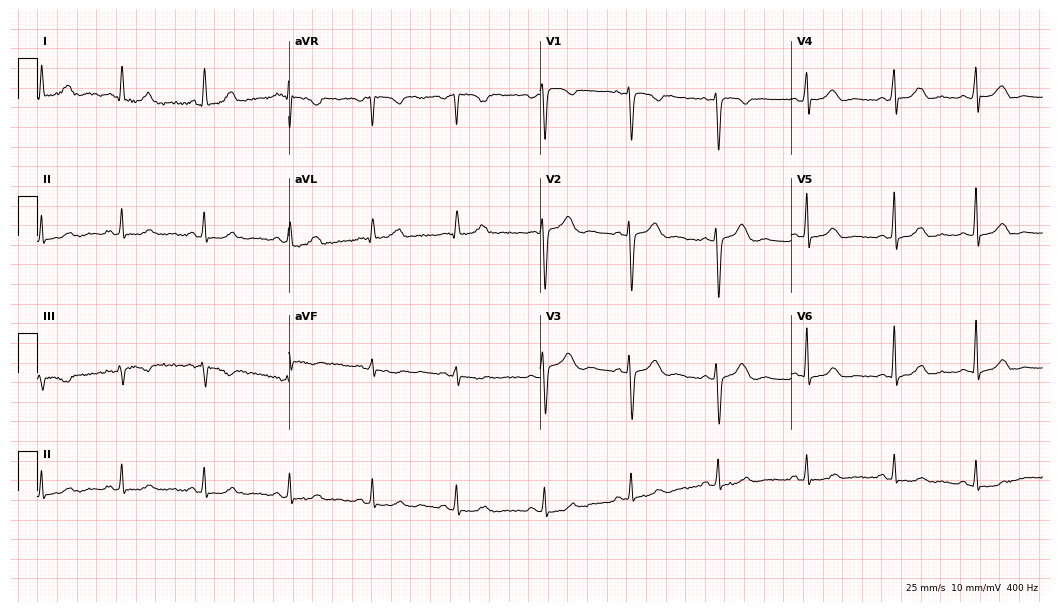
Resting 12-lead electrocardiogram (10.2-second recording at 400 Hz). Patient: a female, 35 years old. None of these six findings is recorded: first-degree AV block, right bundle branch block, left bundle branch block, sinus bradycardia, atrial fibrillation, sinus tachycardia.